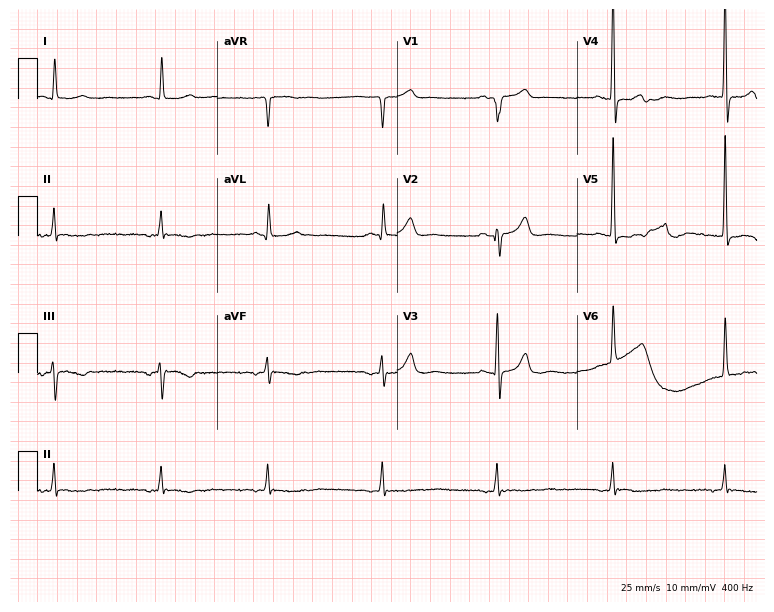
Electrocardiogram, an 84-year-old male patient. Of the six screened findings (first-degree AV block, right bundle branch block, left bundle branch block, sinus bradycardia, atrial fibrillation, sinus tachycardia), none is recorded.